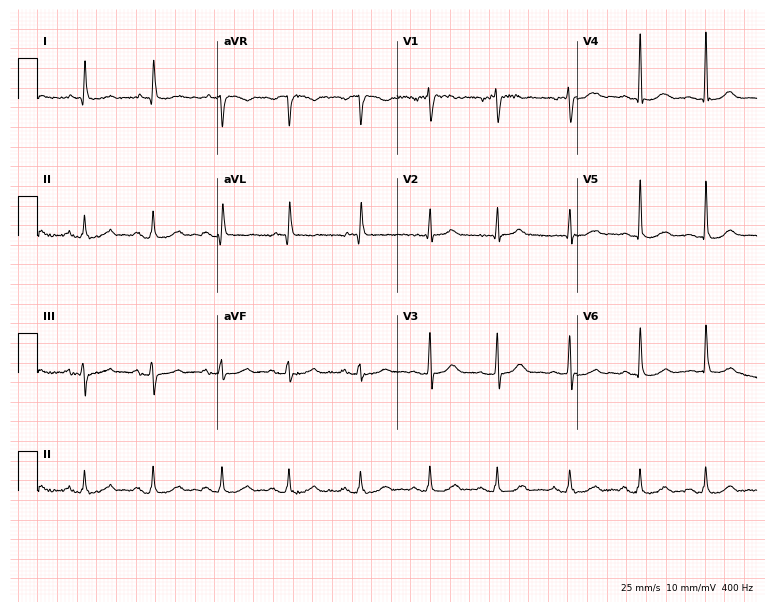
ECG — a male patient, 64 years old. Labelled as a normal ECG.